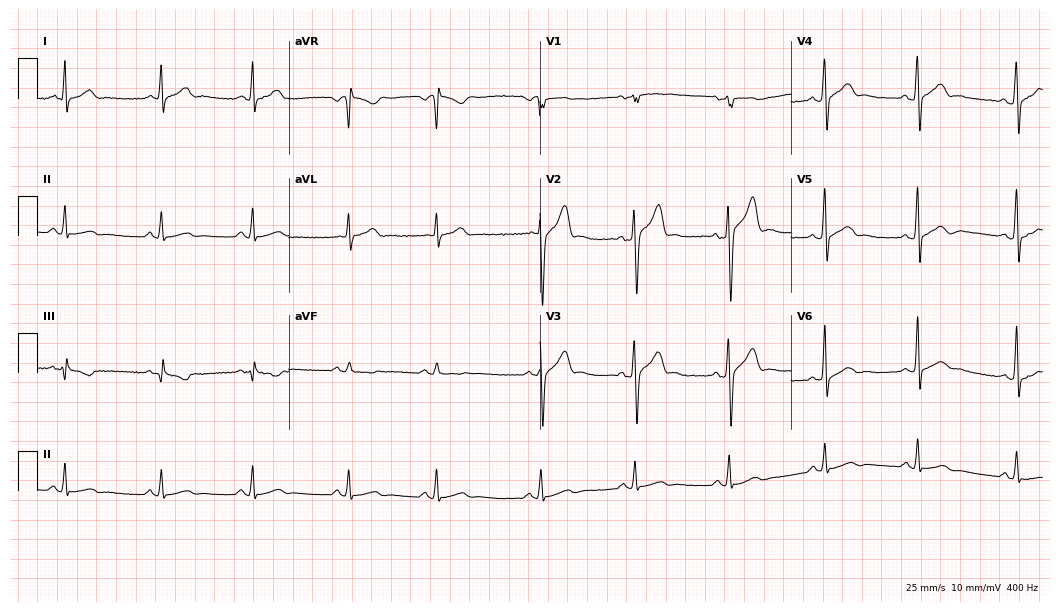
ECG (10.2-second recording at 400 Hz) — a 22-year-old man. Labelled as a normal ECG.